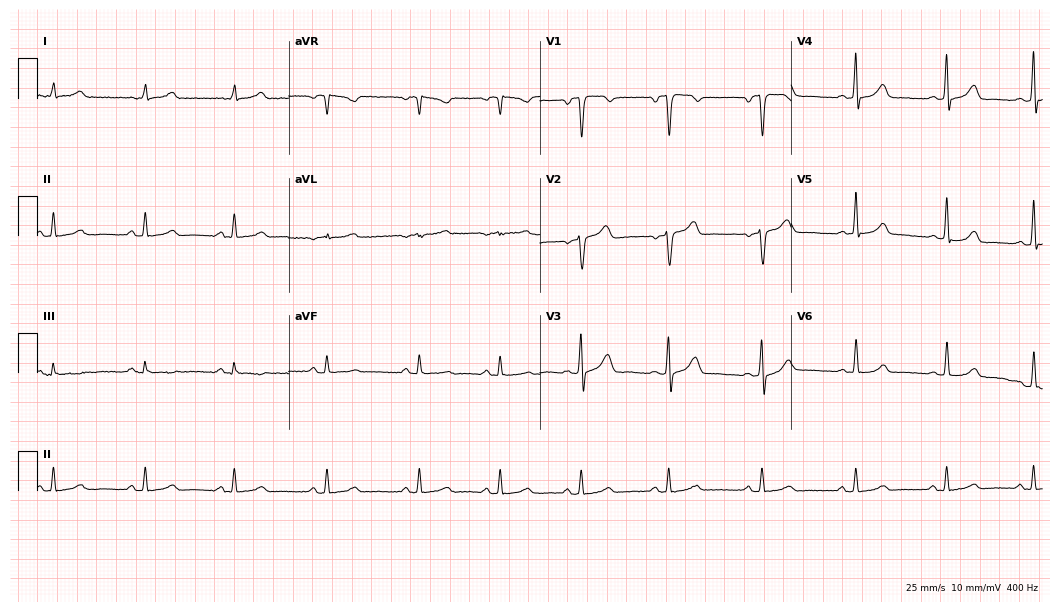
Resting 12-lead electrocardiogram. Patient: a female, 49 years old. Read as a normal ECG.